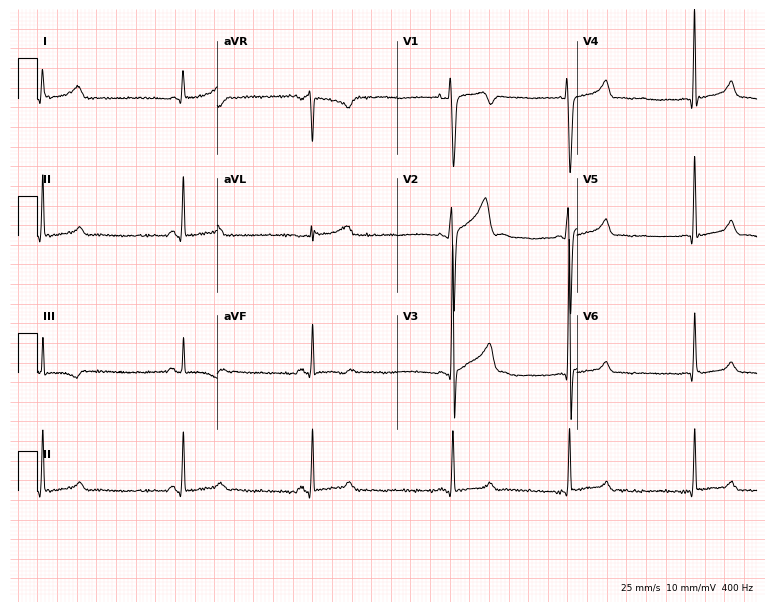
Resting 12-lead electrocardiogram (7.3-second recording at 400 Hz). Patient: a male, 30 years old. None of these six findings is recorded: first-degree AV block, right bundle branch block (RBBB), left bundle branch block (LBBB), sinus bradycardia, atrial fibrillation (AF), sinus tachycardia.